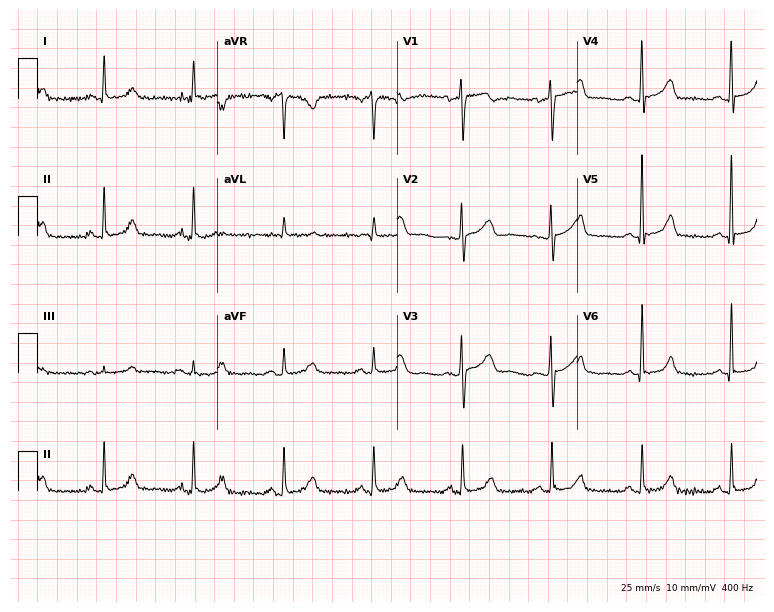
12-lead ECG from a 54-year-old woman (7.3-second recording at 400 Hz). Recorded interpretation: within normal limits.